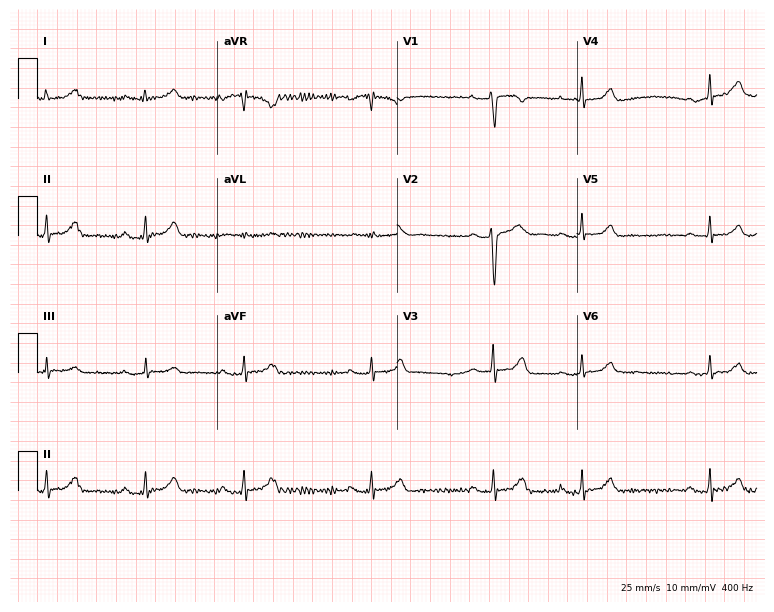
Electrocardiogram, a female patient, 24 years old. Interpretation includes first-degree AV block.